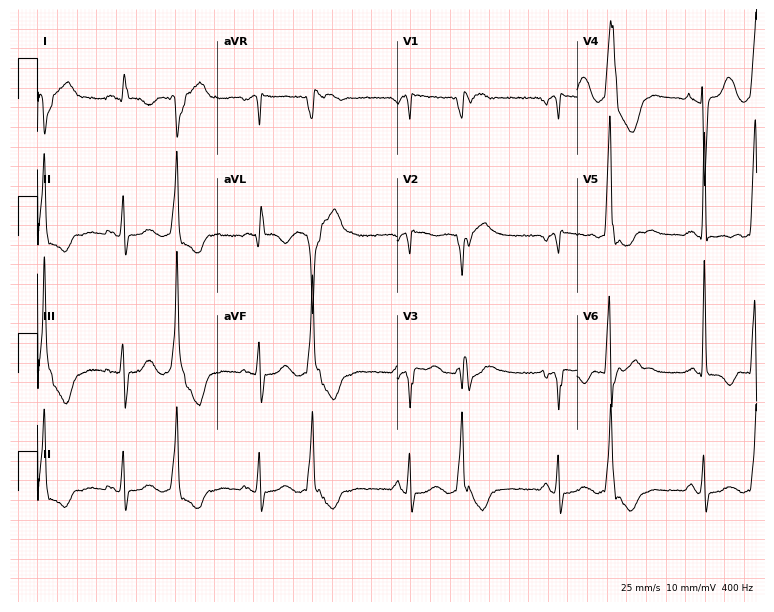
Electrocardiogram, a female patient, 59 years old. Of the six screened findings (first-degree AV block, right bundle branch block, left bundle branch block, sinus bradycardia, atrial fibrillation, sinus tachycardia), none is recorded. Findings outside these six are not listed.